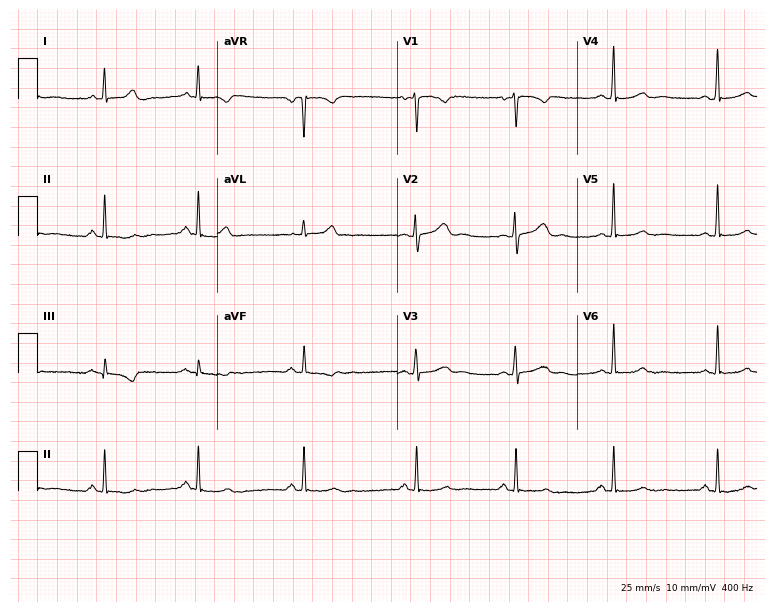
Electrocardiogram, a female patient, 31 years old. Of the six screened findings (first-degree AV block, right bundle branch block, left bundle branch block, sinus bradycardia, atrial fibrillation, sinus tachycardia), none is recorded. Other findings, if any, are not listed.